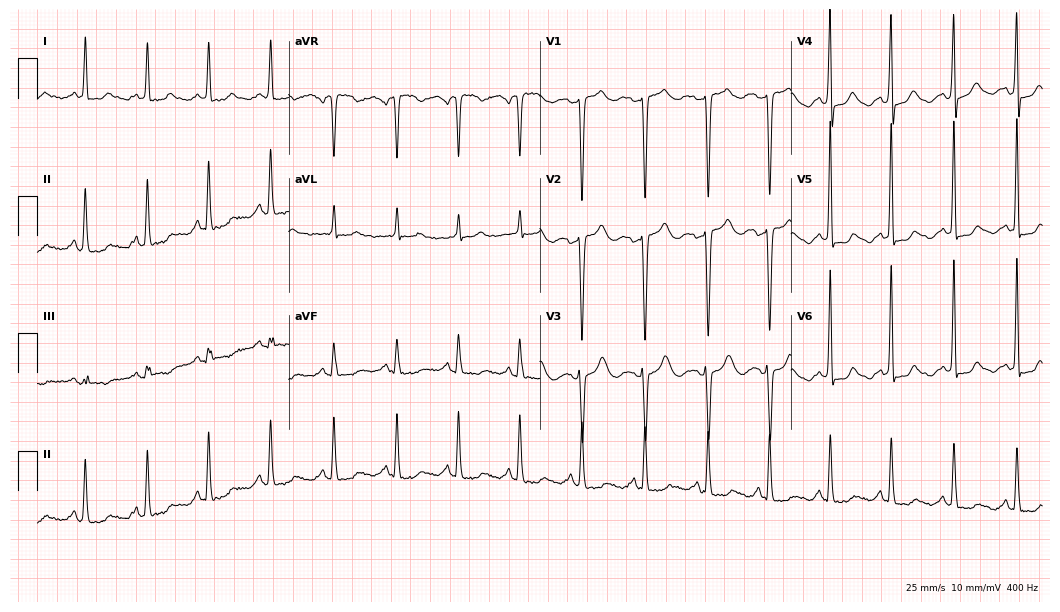
Resting 12-lead electrocardiogram. Patient: a woman, 58 years old. Read as a normal ECG.